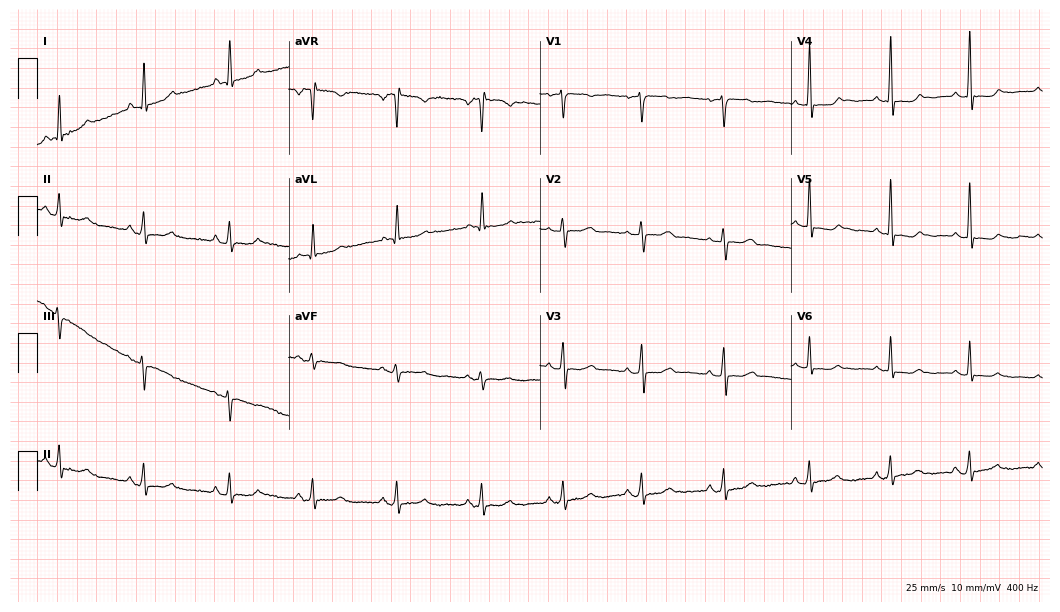
12-lead ECG from a woman, 44 years old (10.2-second recording at 400 Hz). Recorded interpretation: within normal limits.